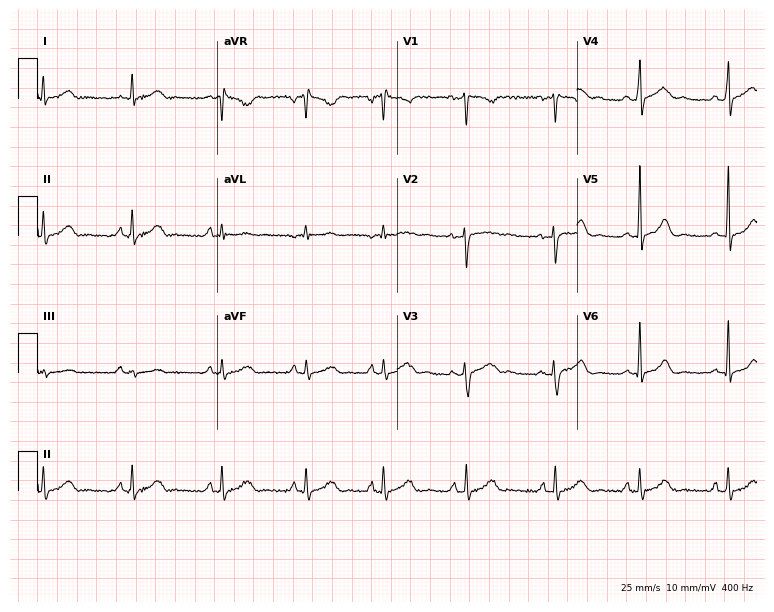
Electrocardiogram, a 23-year-old female patient. Overall reading on record: normal ECG.